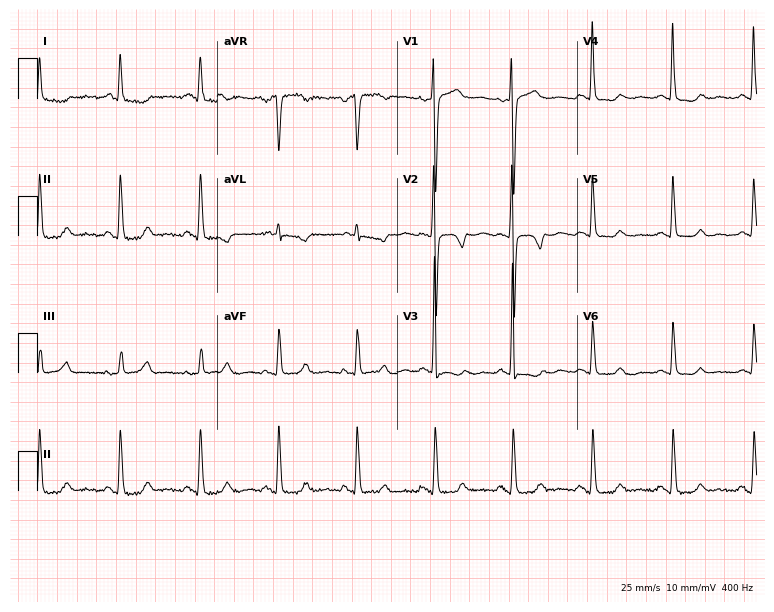
Standard 12-lead ECG recorded from a 51-year-old female (7.3-second recording at 400 Hz). Read as a normal ECG.